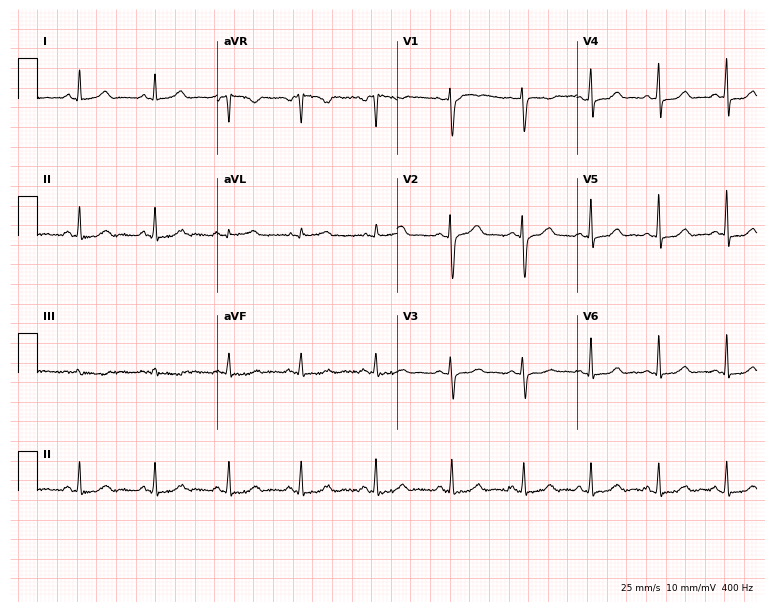
ECG (7.3-second recording at 400 Hz) — a female patient, 34 years old. Labelled as a normal ECG.